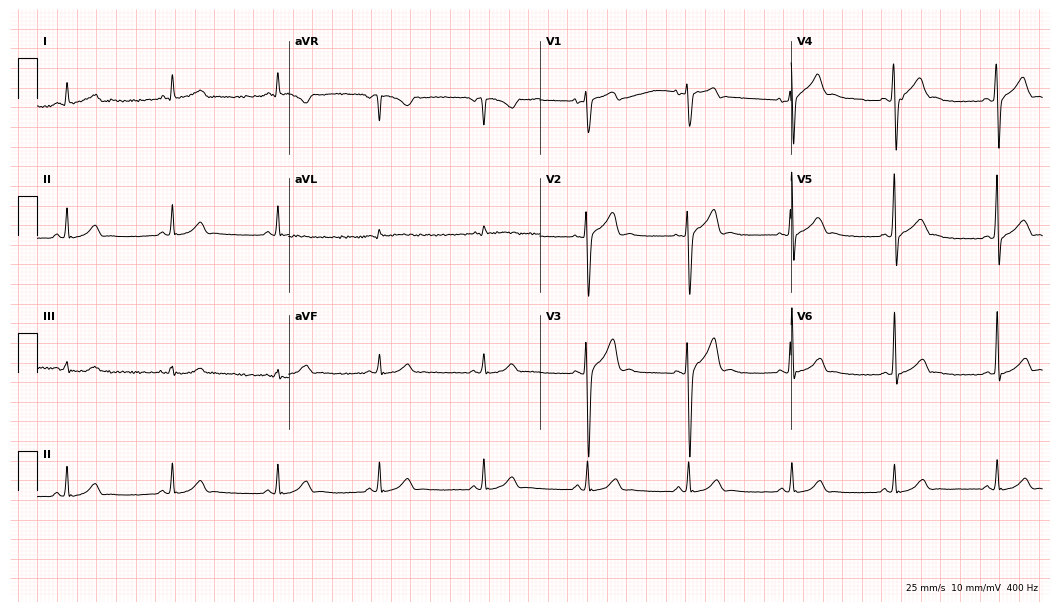
Resting 12-lead electrocardiogram (10.2-second recording at 400 Hz). Patient: a 35-year-old male. None of these six findings is recorded: first-degree AV block, right bundle branch block, left bundle branch block, sinus bradycardia, atrial fibrillation, sinus tachycardia. Other findings, if any, are not listed.